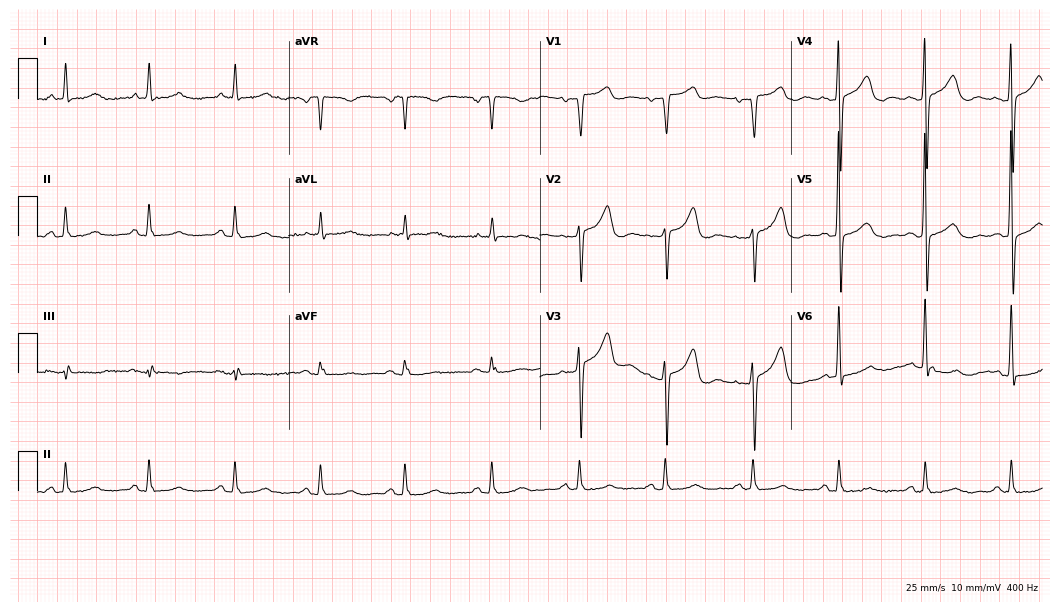
12-lead ECG (10.2-second recording at 400 Hz) from a female, 85 years old. Screened for six findings — first-degree AV block, right bundle branch block, left bundle branch block, sinus bradycardia, atrial fibrillation, sinus tachycardia — none is recorded.